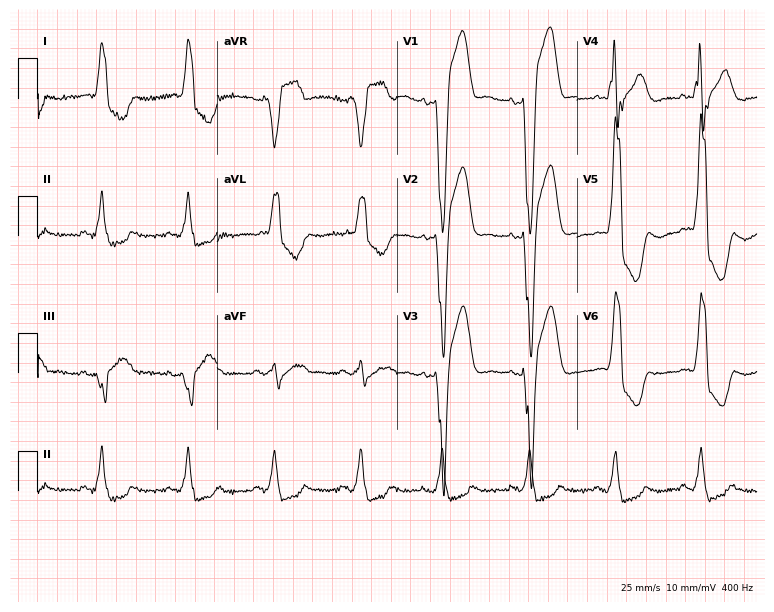
12-lead ECG from a female, 80 years old (7.3-second recording at 400 Hz). Shows left bundle branch block (LBBB).